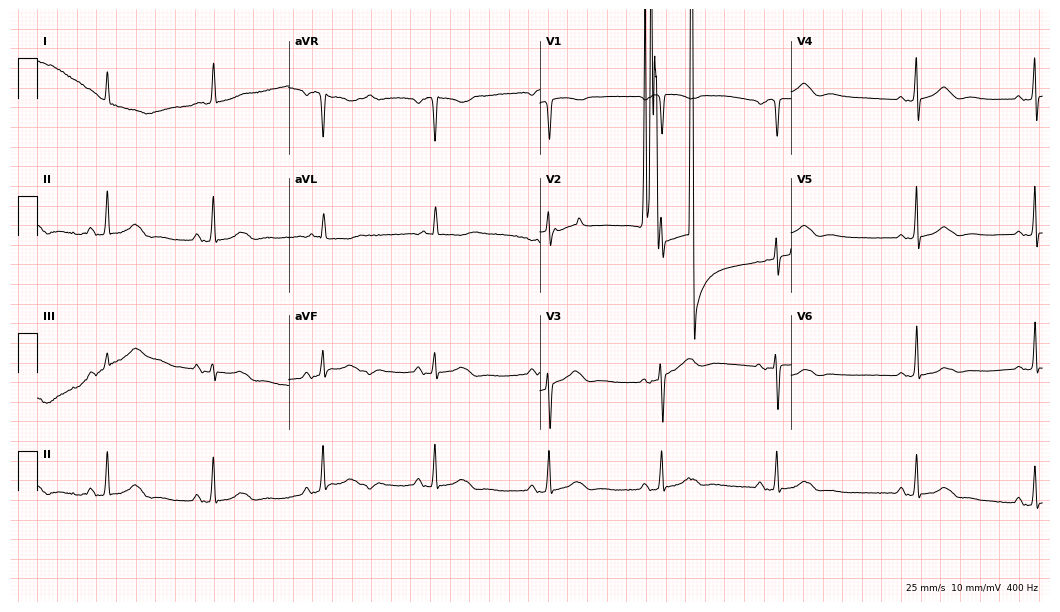
Standard 12-lead ECG recorded from a female patient, 82 years old (10.2-second recording at 400 Hz). None of these six findings is recorded: first-degree AV block, right bundle branch block, left bundle branch block, sinus bradycardia, atrial fibrillation, sinus tachycardia. Other findings, if any, are not listed.